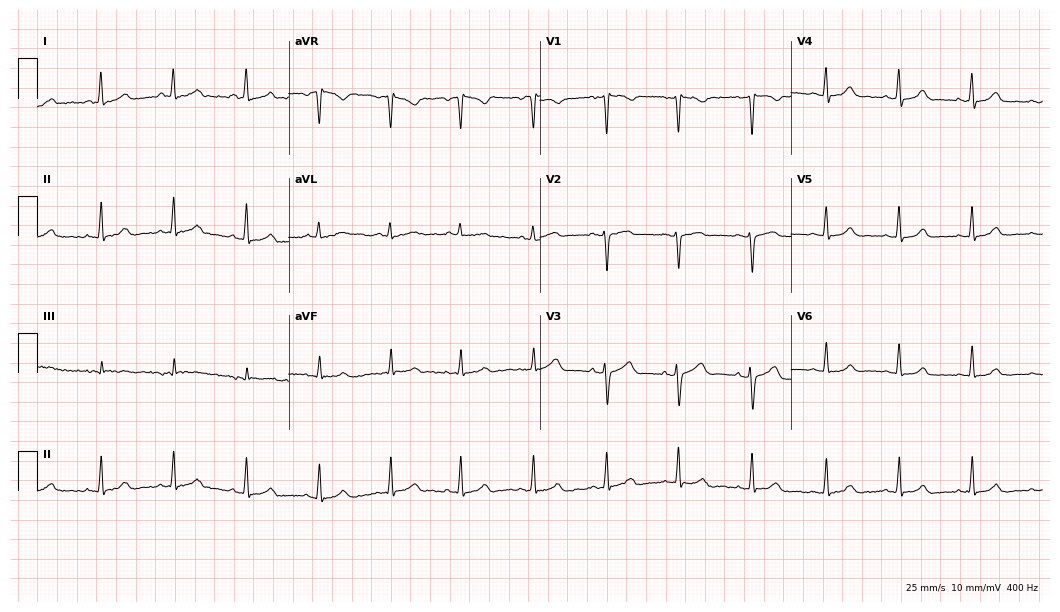
Resting 12-lead electrocardiogram (10.2-second recording at 400 Hz). Patient: a 42-year-old female. Read as a normal ECG.